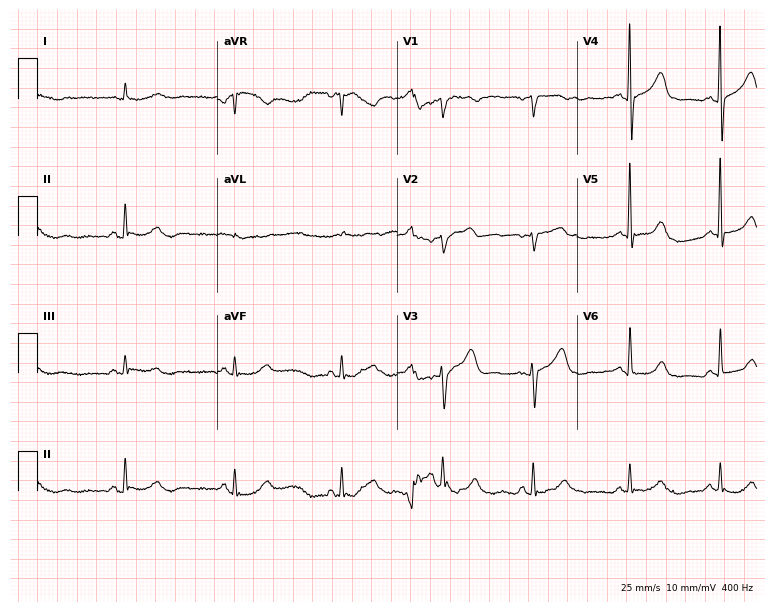
12-lead ECG (7.3-second recording at 400 Hz) from a man, 69 years old. Screened for six findings — first-degree AV block, right bundle branch block, left bundle branch block, sinus bradycardia, atrial fibrillation, sinus tachycardia — none is recorded.